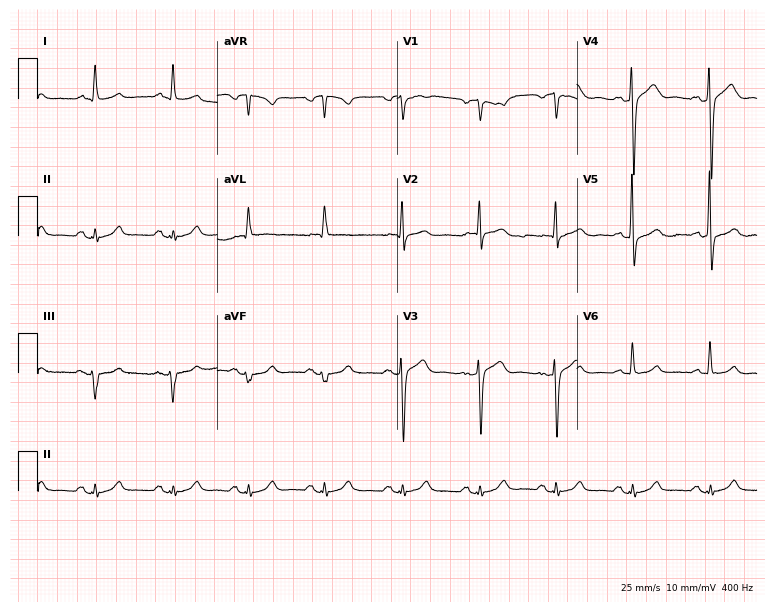
12-lead ECG from a male patient, 65 years old (7.3-second recording at 400 Hz). Recorded interpretation: within normal limits.